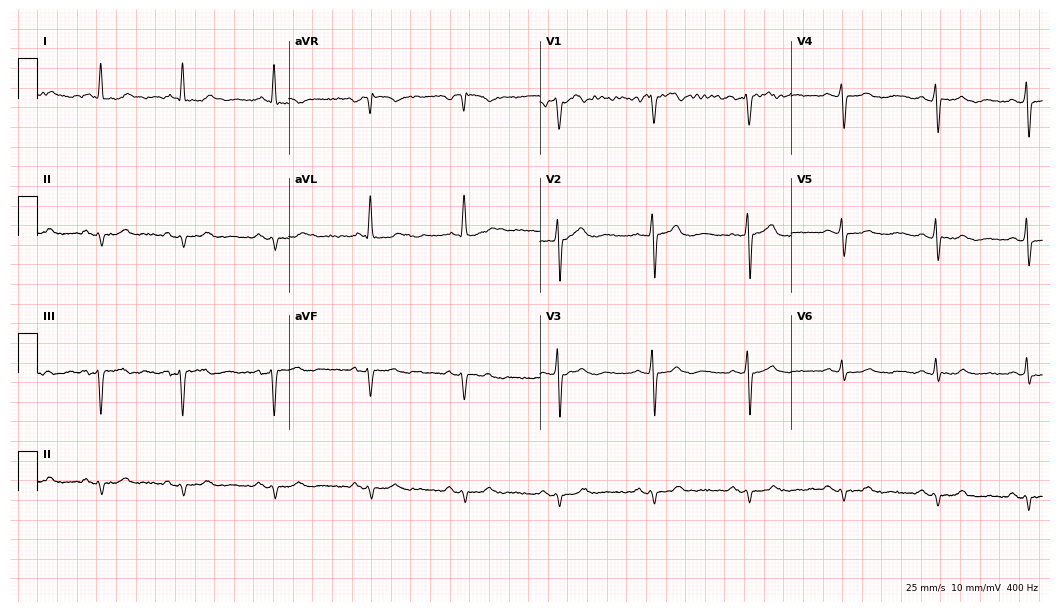
ECG (10.2-second recording at 400 Hz) — an 81-year-old man. Screened for six findings — first-degree AV block, right bundle branch block, left bundle branch block, sinus bradycardia, atrial fibrillation, sinus tachycardia — none is recorded.